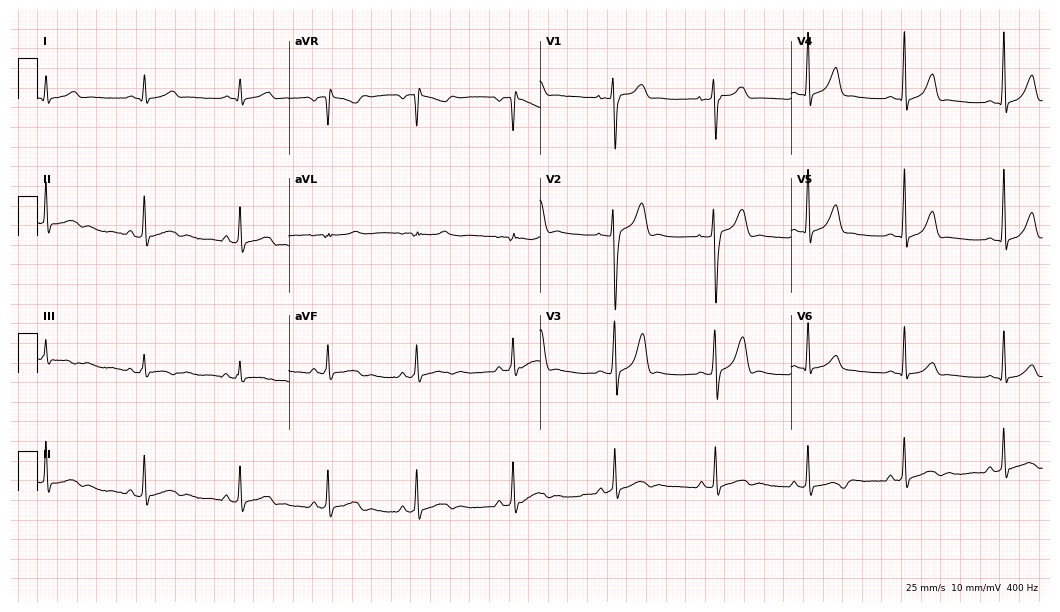
Resting 12-lead electrocardiogram (10.2-second recording at 400 Hz). Patient: a male, 19 years old. Read as a normal ECG.